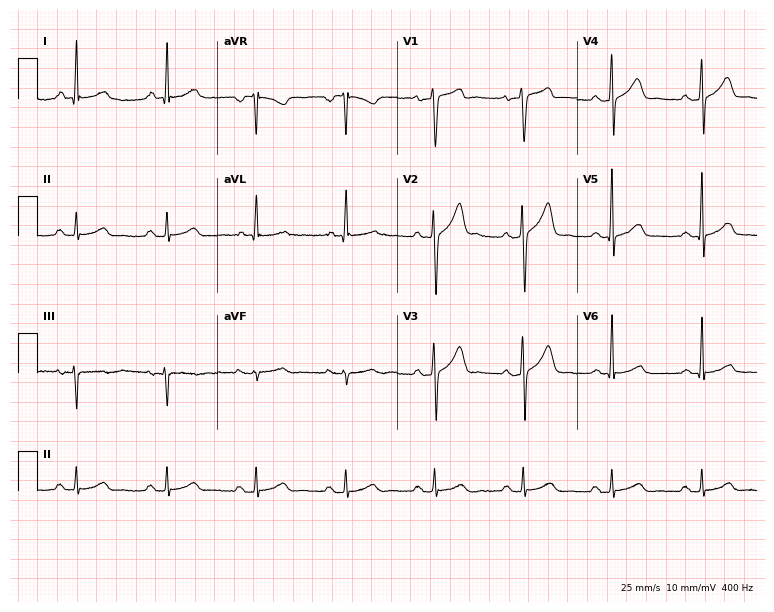
12-lead ECG from a 41-year-old man. Screened for six findings — first-degree AV block, right bundle branch block, left bundle branch block, sinus bradycardia, atrial fibrillation, sinus tachycardia — none is recorded. Findings outside these six are not listed.